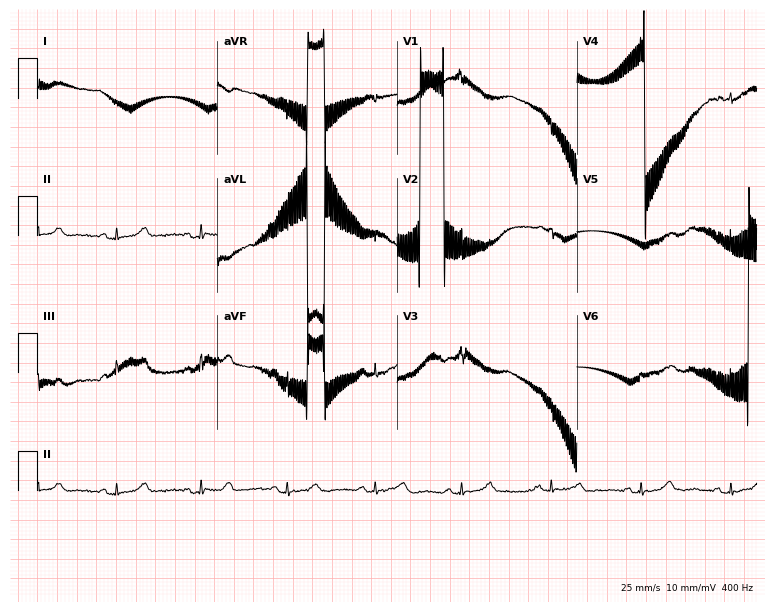
Resting 12-lead electrocardiogram. Patient: a 63-year-old female. None of these six findings is recorded: first-degree AV block, right bundle branch block, left bundle branch block, sinus bradycardia, atrial fibrillation, sinus tachycardia. Other findings, if any, are not listed.